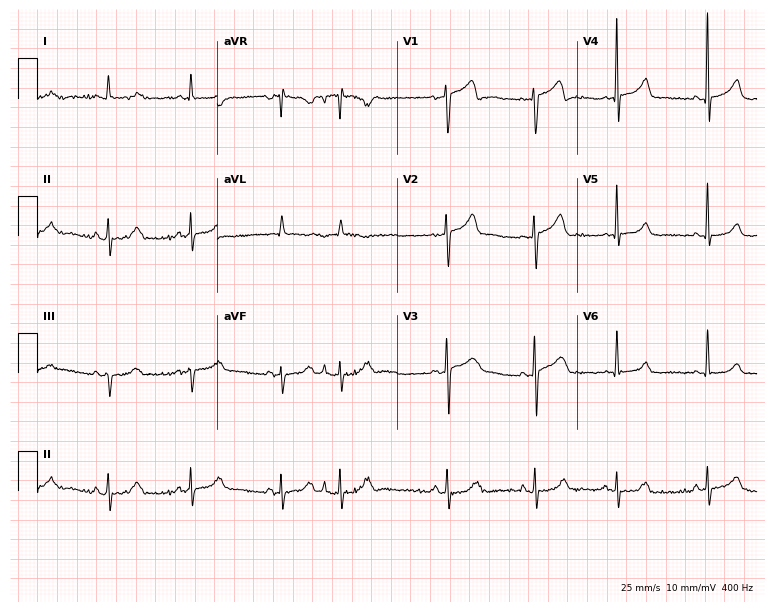
Resting 12-lead electrocardiogram (7.3-second recording at 400 Hz). Patient: a 77-year-old female. None of these six findings is recorded: first-degree AV block, right bundle branch block, left bundle branch block, sinus bradycardia, atrial fibrillation, sinus tachycardia. Findings outside these six are not listed.